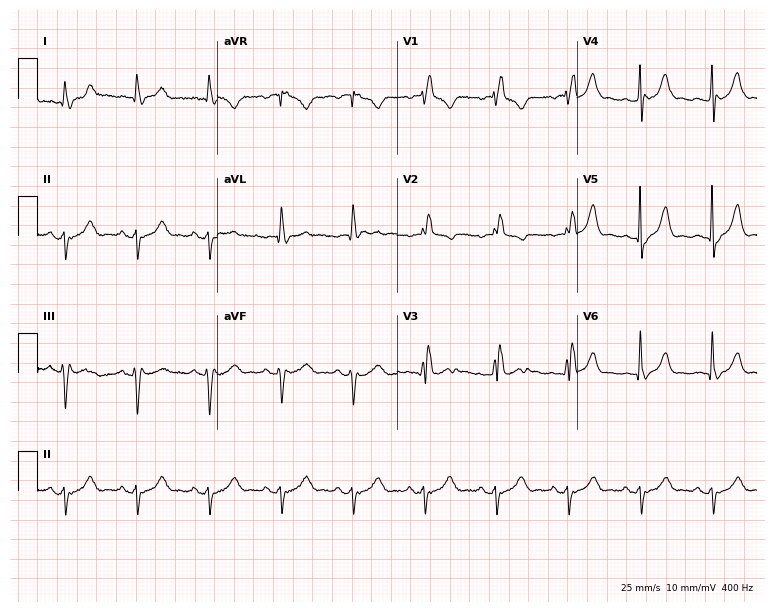
Electrocardiogram, a 78-year-old female patient. Interpretation includes right bundle branch block.